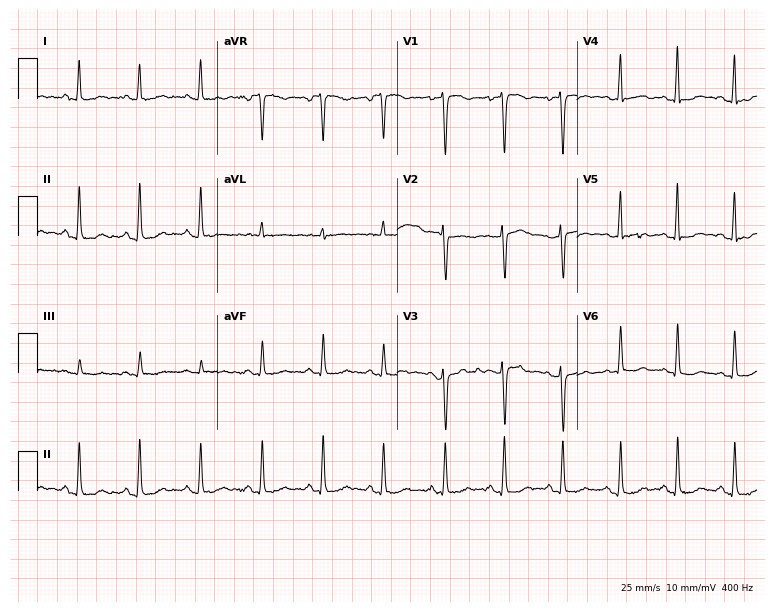
ECG — a 37-year-old woman. Labelled as a normal ECG.